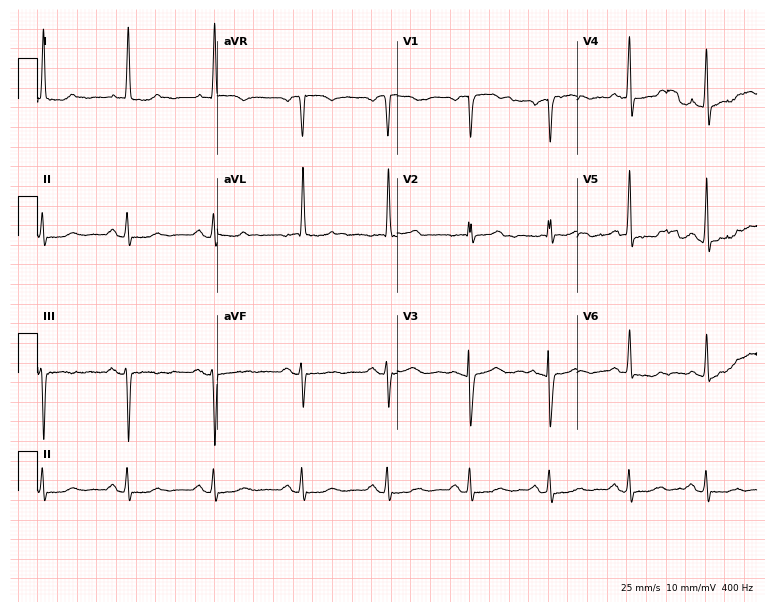
Standard 12-lead ECG recorded from a 77-year-old female (7.3-second recording at 400 Hz). None of these six findings is recorded: first-degree AV block, right bundle branch block (RBBB), left bundle branch block (LBBB), sinus bradycardia, atrial fibrillation (AF), sinus tachycardia.